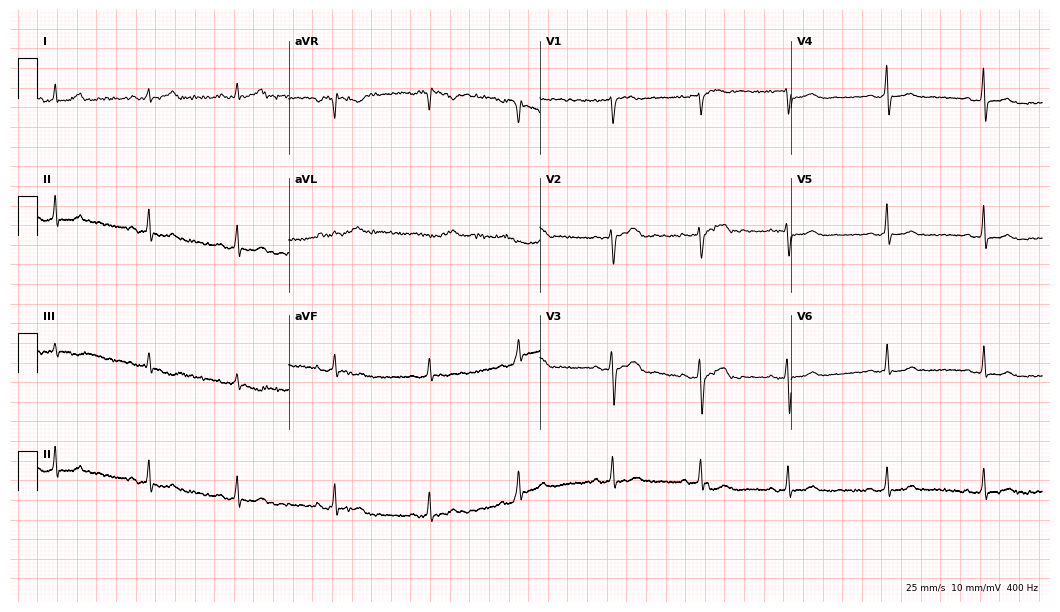
ECG — a 26-year-old female. Labelled as a normal ECG.